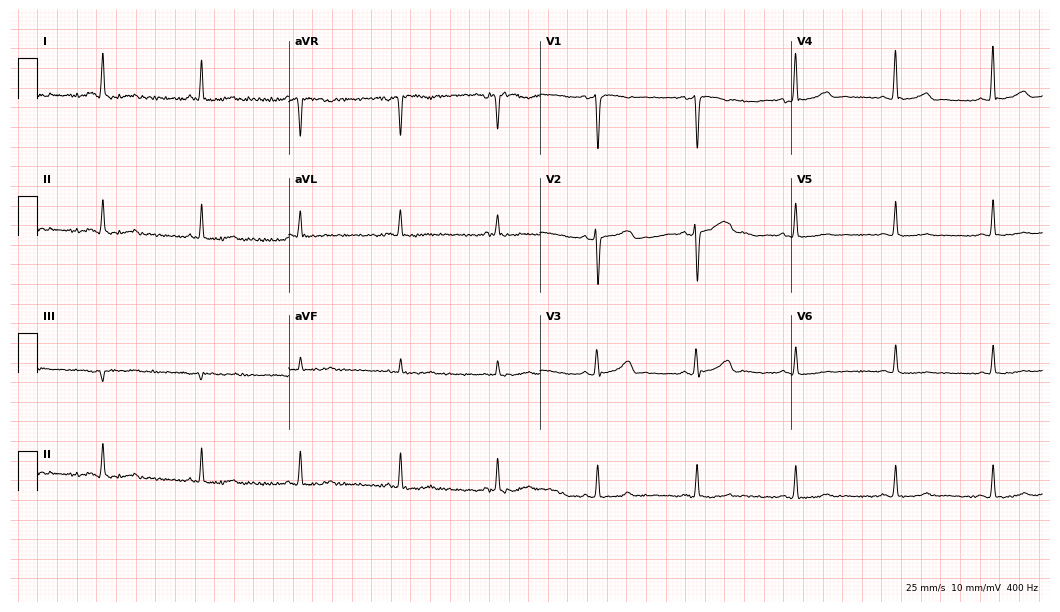
Resting 12-lead electrocardiogram. Patient: a woman, 57 years old. None of these six findings is recorded: first-degree AV block, right bundle branch block (RBBB), left bundle branch block (LBBB), sinus bradycardia, atrial fibrillation (AF), sinus tachycardia.